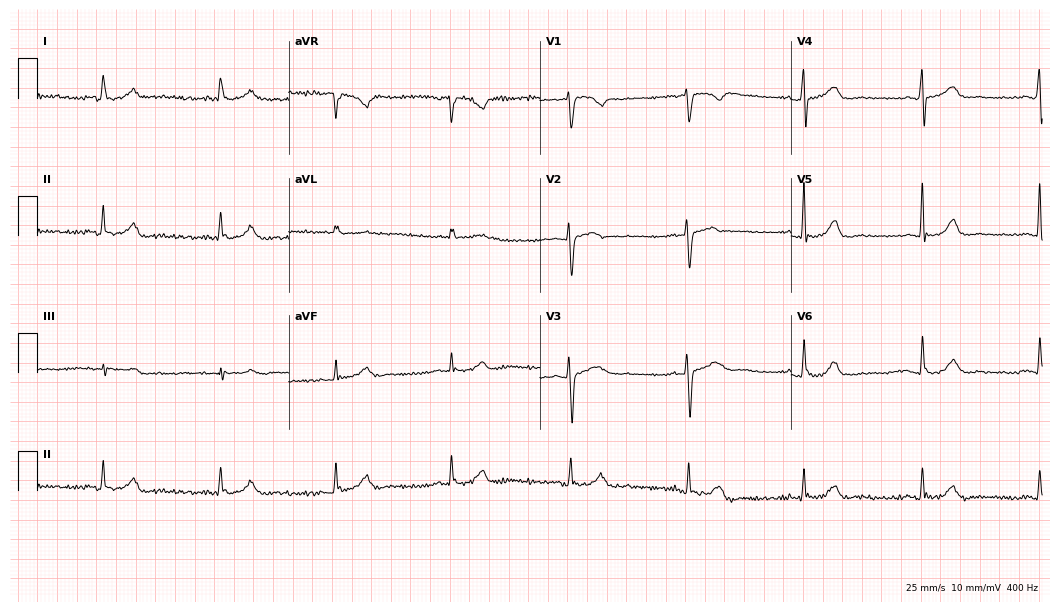
Electrocardiogram, a female, 64 years old. Overall reading on record: normal ECG.